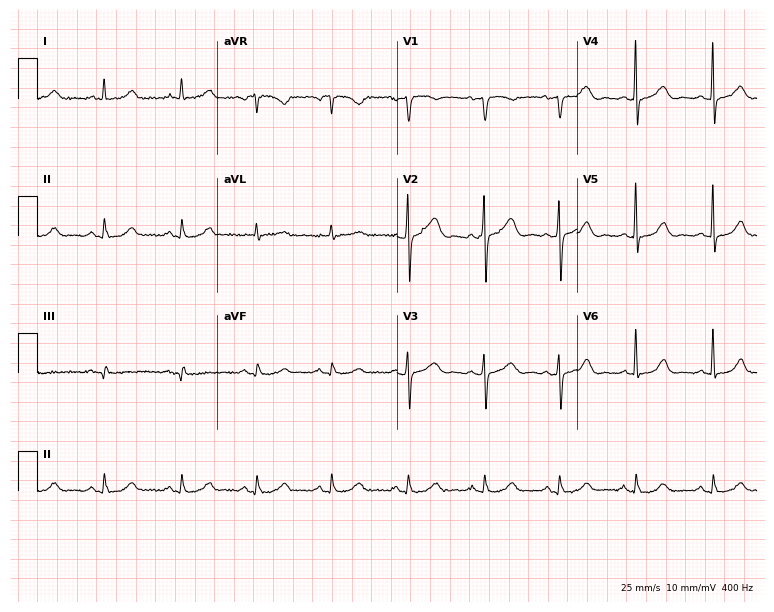
Electrocardiogram (7.3-second recording at 400 Hz), a female patient, 70 years old. Overall reading on record: normal ECG.